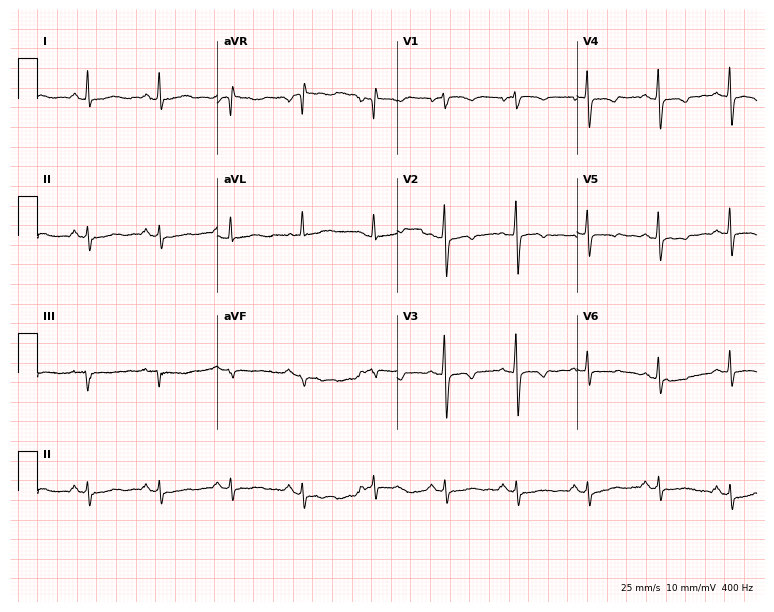
ECG (7.3-second recording at 400 Hz) — a female, 63 years old. Screened for six findings — first-degree AV block, right bundle branch block, left bundle branch block, sinus bradycardia, atrial fibrillation, sinus tachycardia — none is recorded.